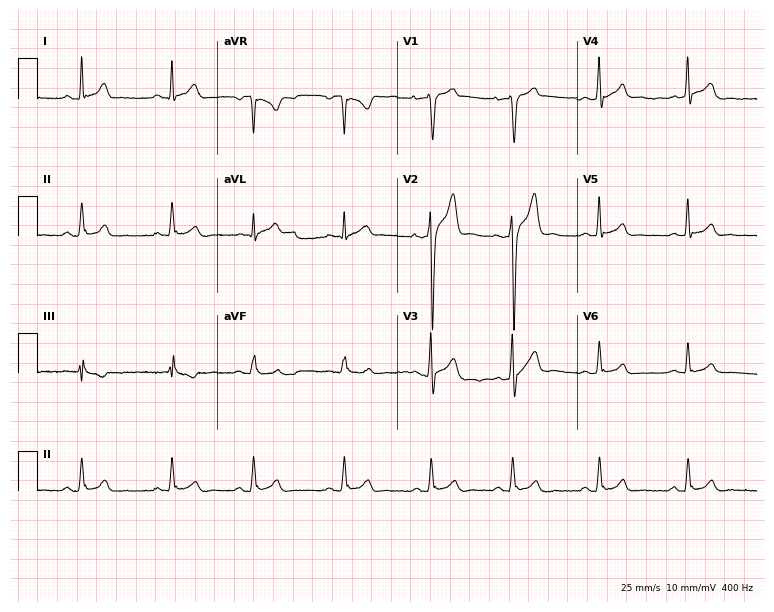
Resting 12-lead electrocardiogram. Patient: a 33-year-old man. None of these six findings is recorded: first-degree AV block, right bundle branch block, left bundle branch block, sinus bradycardia, atrial fibrillation, sinus tachycardia. Findings outside these six are not listed.